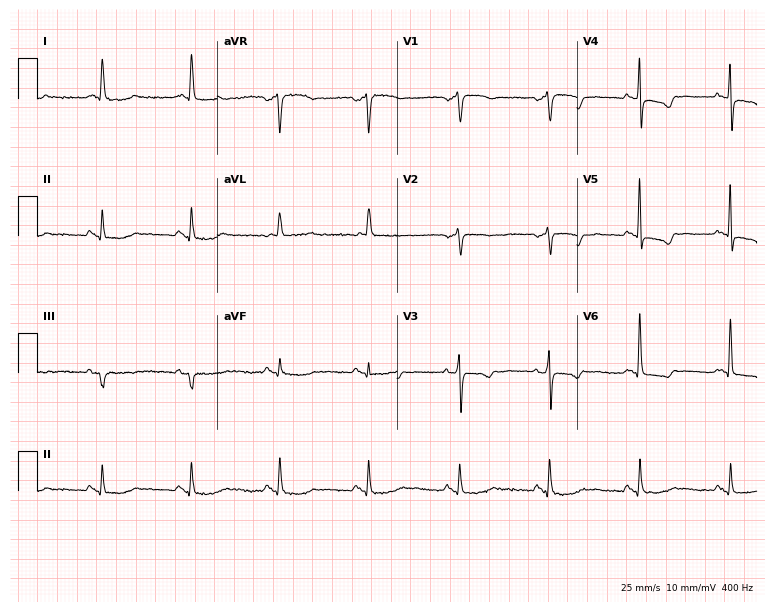
ECG — a female patient, 88 years old. Screened for six findings — first-degree AV block, right bundle branch block (RBBB), left bundle branch block (LBBB), sinus bradycardia, atrial fibrillation (AF), sinus tachycardia — none is recorded.